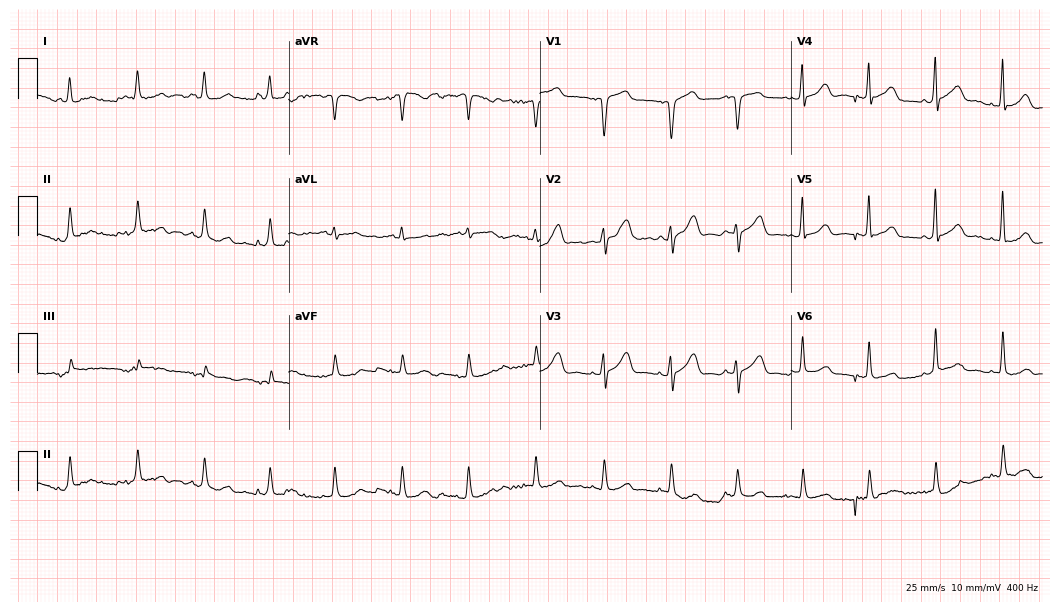
12-lead ECG from a 65-year-old female patient (10.2-second recording at 400 Hz). Recorded interpretation: within normal limits.